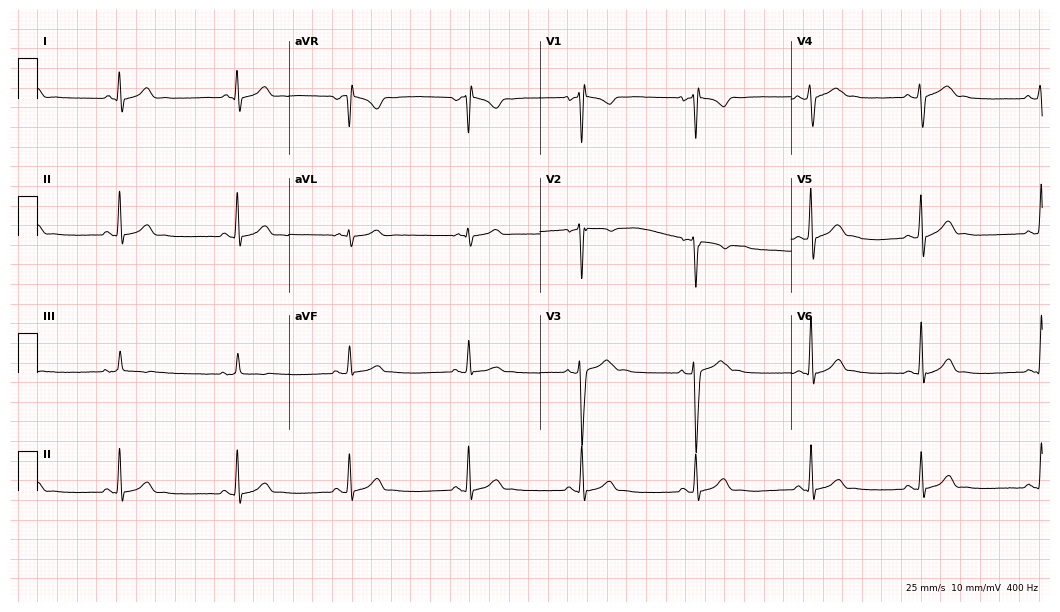
Electrocardiogram, a male, 21 years old. Of the six screened findings (first-degree AV block, right bundle branch block, left bundle branch block, sinus bradycardia, atrial fibrillation, sinus tachycardia), none is recorded.